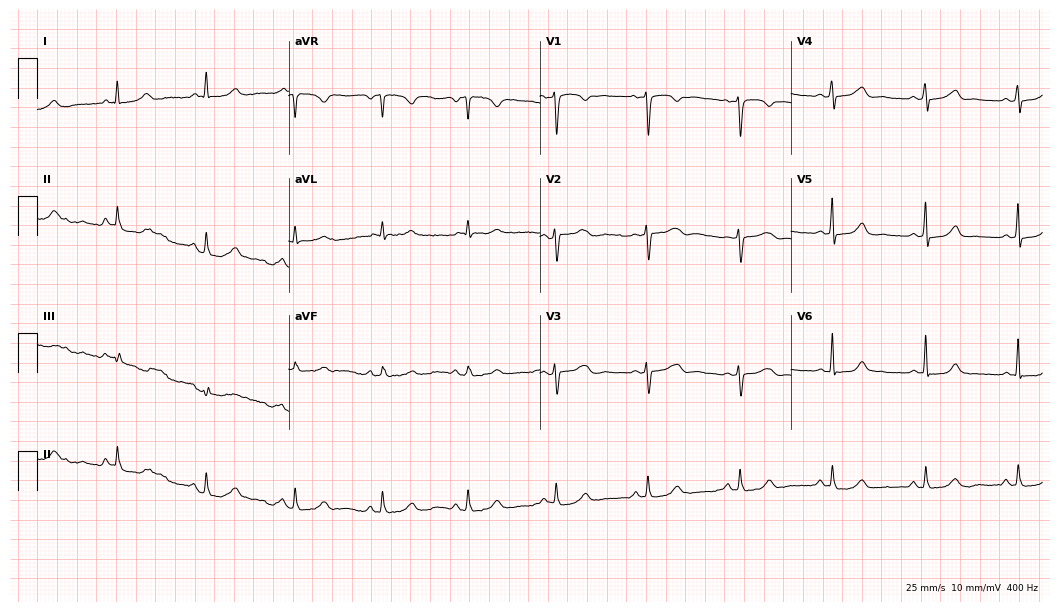
ECG — a 47-year-old female. Labelled as a normal ECG.